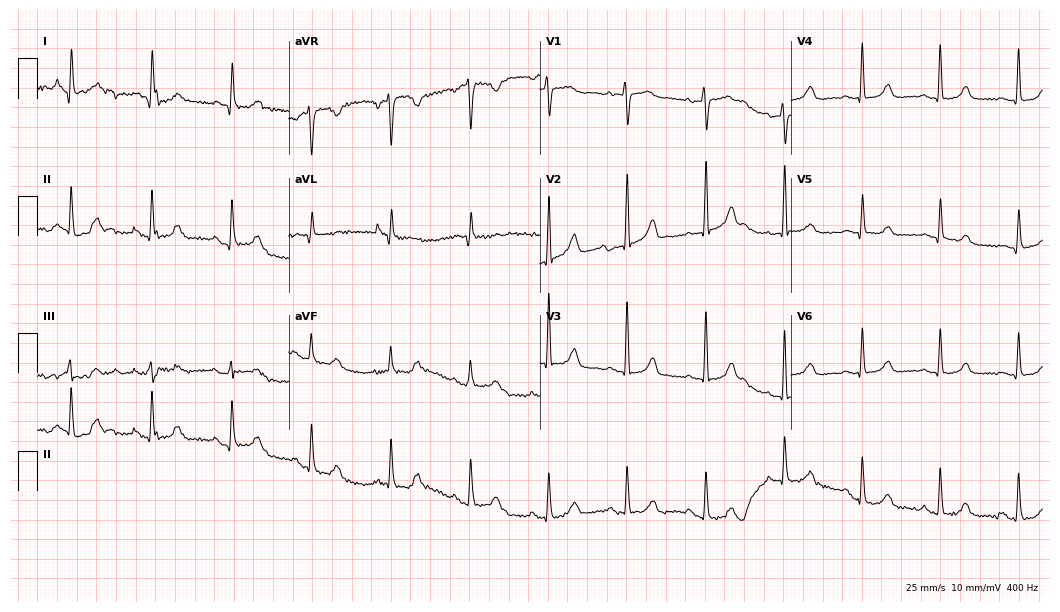
ECG — a 60-year-old female. Labelled as a normal ECG.